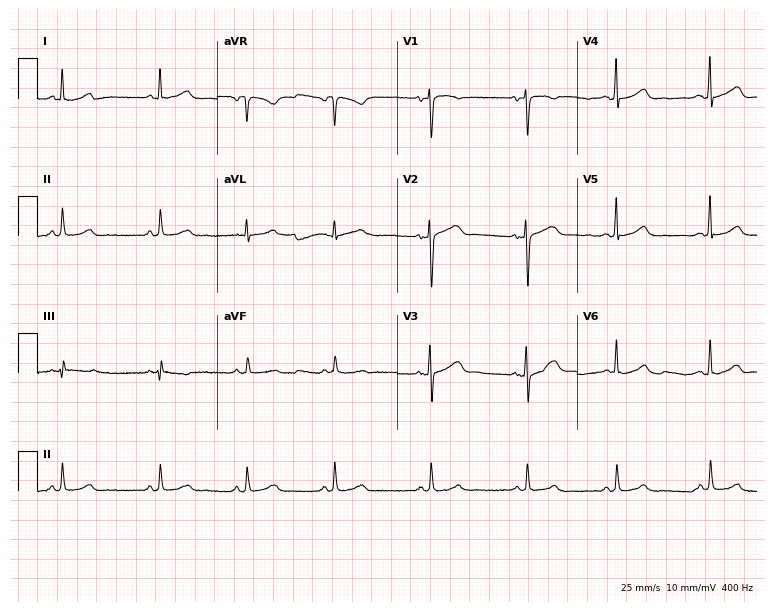
Resting 12-lead electrocardiogram (7.3-second recording at 400 Hz). Patient: a woman, 36 years old. Read as a normal ECG.